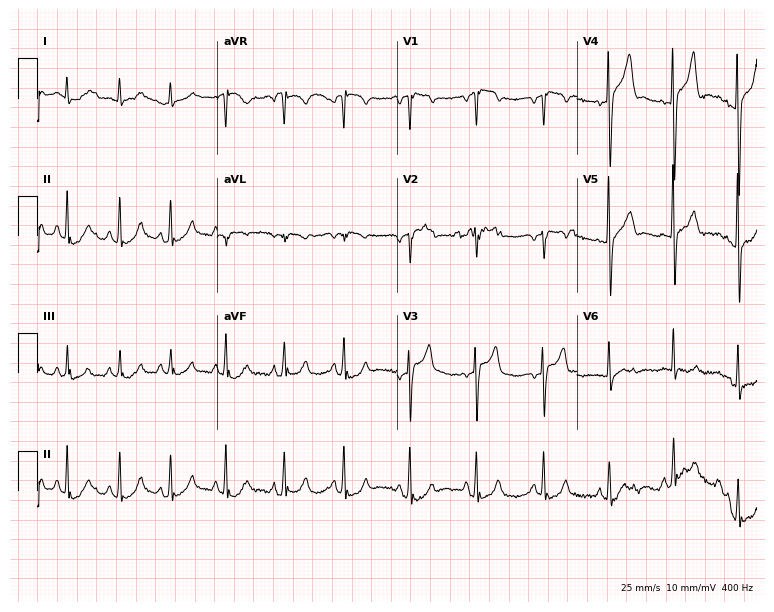
Electrocardiogram, a man, 39 years old. Of the six screened findings (first-degree AV block, right bundle branch block (RBBB), left bundle branch block (LBBB), sinus bradycardia, atrial fibrillation (AF), sinus tachycardia), none is recorded. Findings outside these six are not listed.